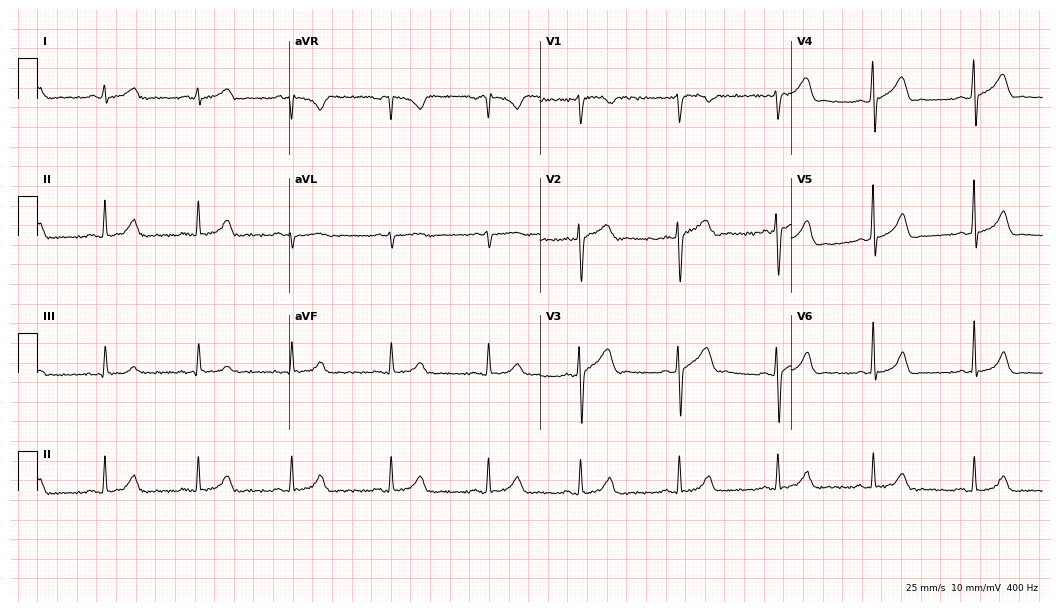
Standard 12-lead ECG recorded from a man, 30 years old. Read as a normal ECG.